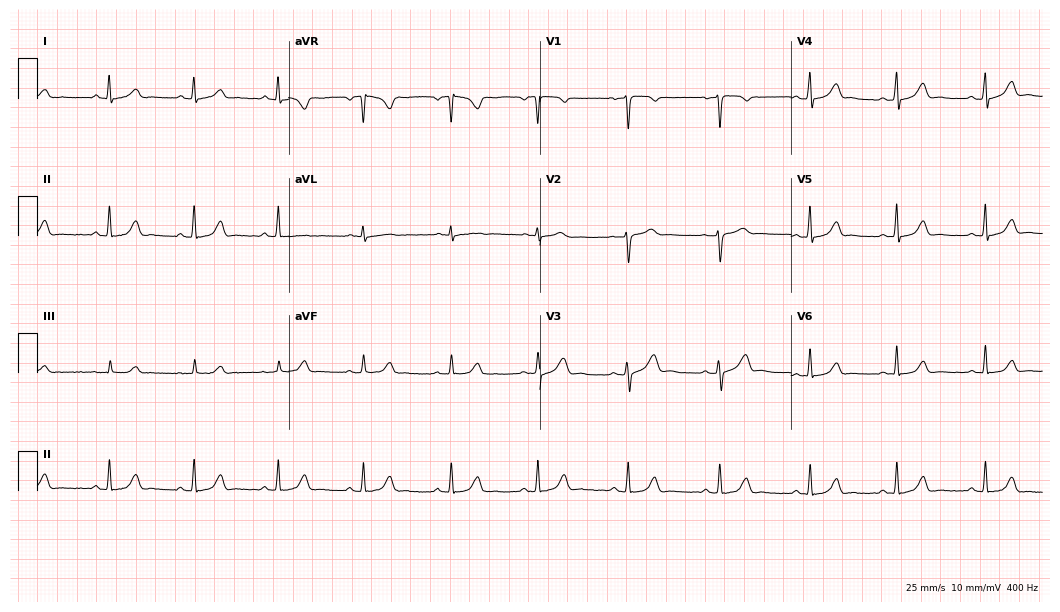
Resting 12-lead electrocardiogram (10.2-second recording at 400 Hz). Patient: a 38-year-old woman. Read as a normal ECG.